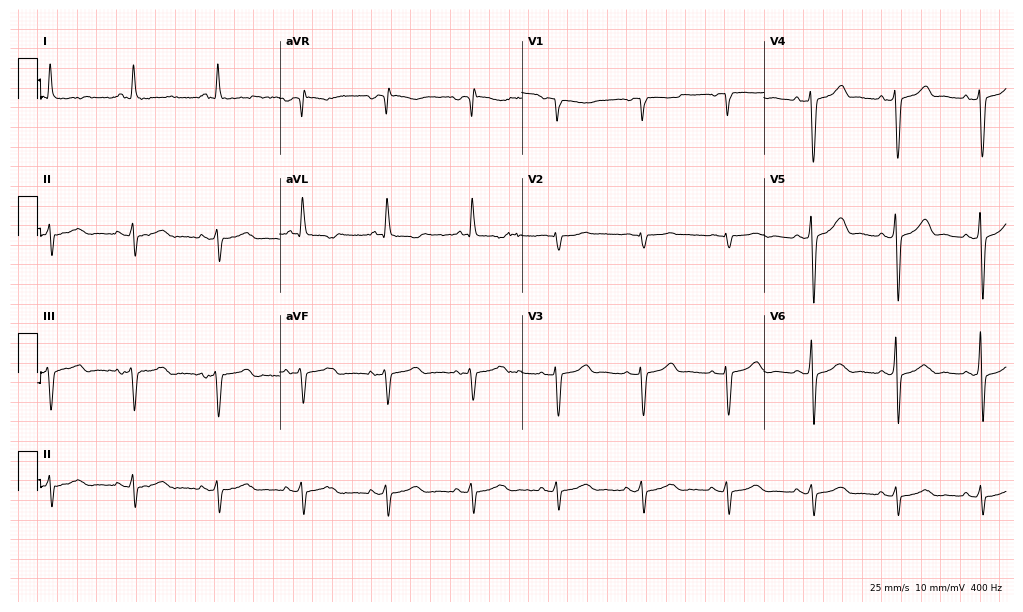
ECG — a female, 63 years old. Screened for six findings — first-degree AV block, right bundle branch block (RBBB), left bundle branch block (LBBB), sinus bradycardia, atrial fibrillation (AF), sinus tachycardia — none is recorded. Other findings, if any, are not listed.